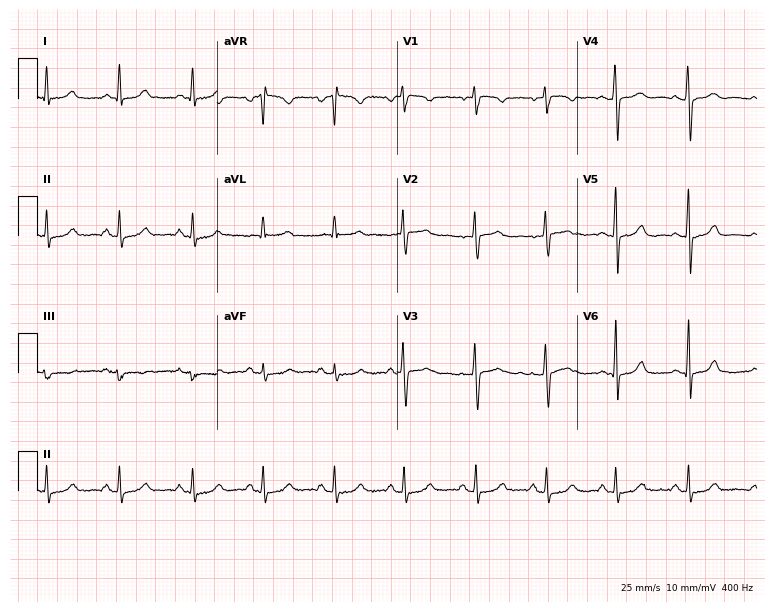
12-lead ECG from a woman, 44 years old. Labelled as a normal ECG.